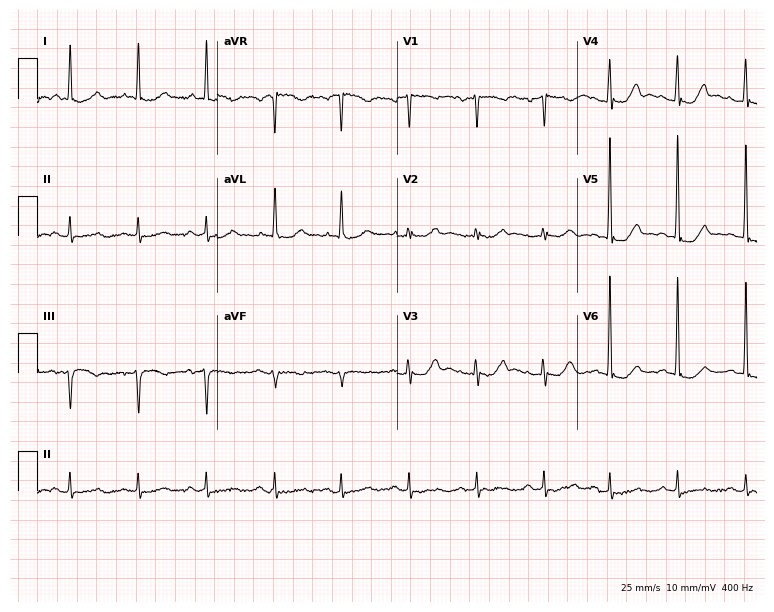
12-lead ECG from a female patient, 72 years old. Screened for six findings — first-degree AV block, right bundle branch block, left bundle branch block, sinus bradycardia, atrial fibrillation, sinus tachycardia — none is recorded. Findings outside these six are not listed.